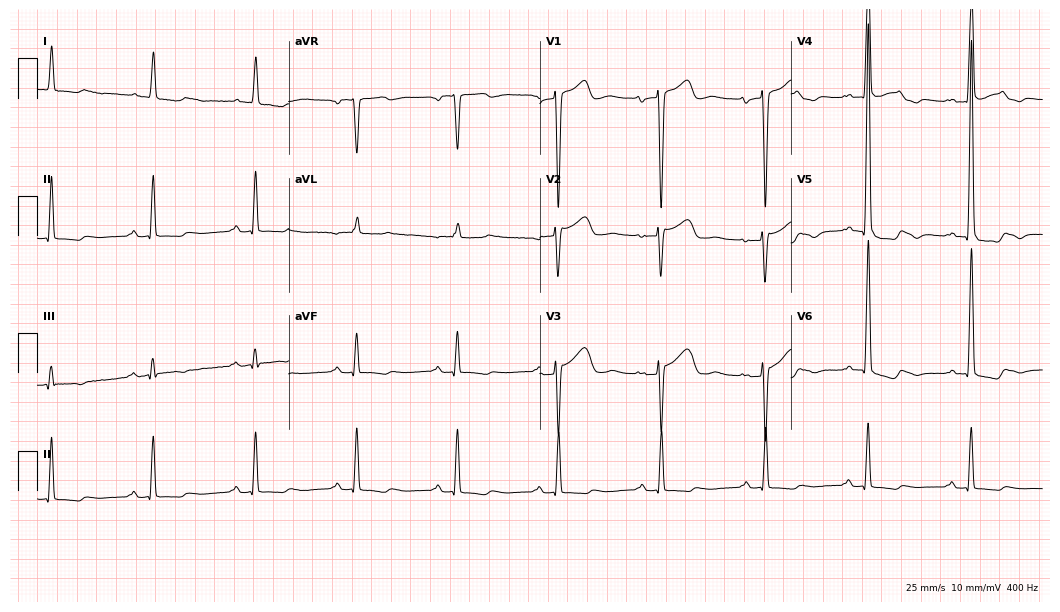
12-lead ECG from a male patient, 79 years old (10.2-second recording at 400 Hz). No first-degree AV block, right bundle branch block (RBBB), left bundle branch block (LBBB), sinus bradycardia, atrial fibrillation (AF) or sinus tachycardia recorded for this tracing. Only these six findings were labelled.